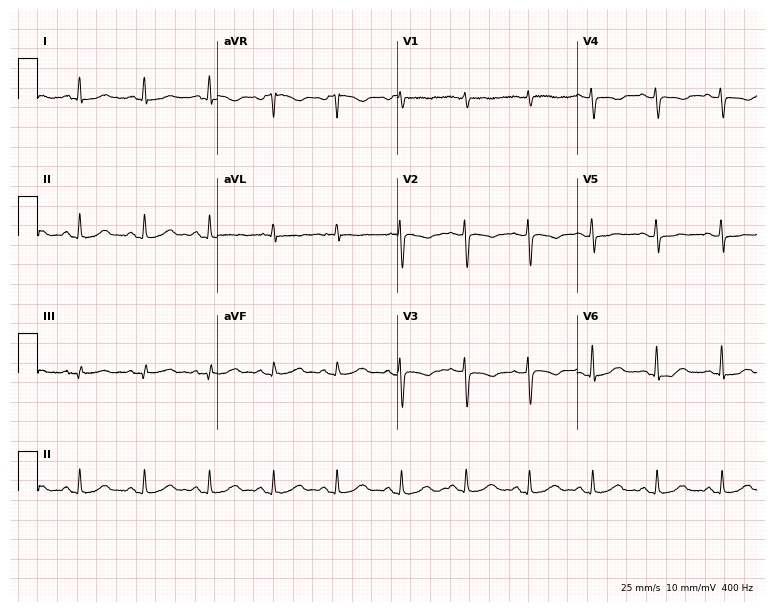
Standard 12-lead ECG recorded from a 46-year-old female patient. None of these six findings is recorded: first-degree AV block, right bundle branch block, left bundle branch block, sinus bradycardia, atrial fibrillation, sinus tachycardia. Other findings, if any, are not listed.